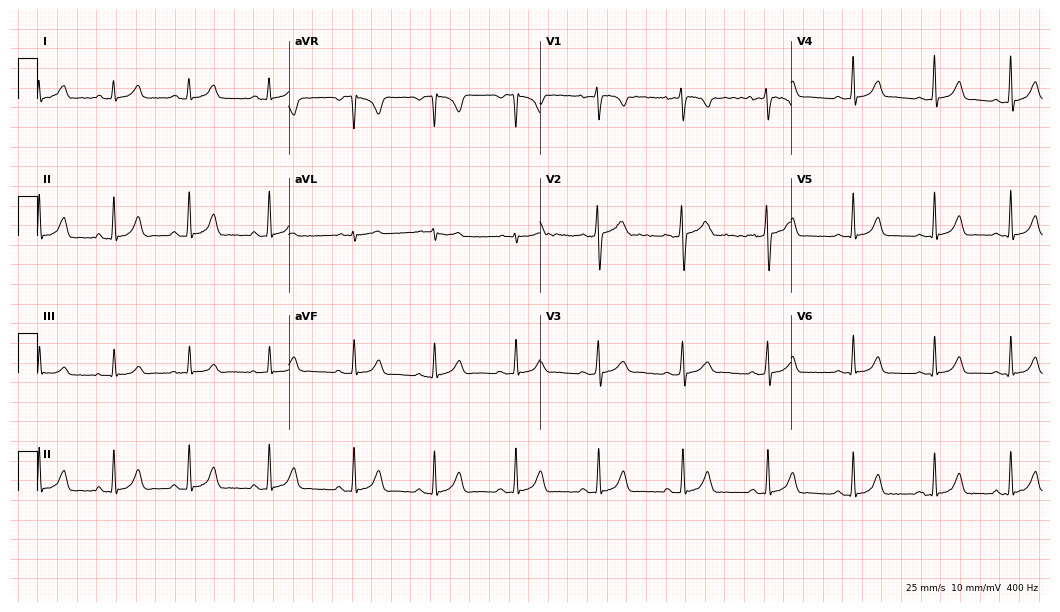
ECG (10.2-second recording at 400 Hz) — a female, 24 years old. Labelled as a normal ECG.